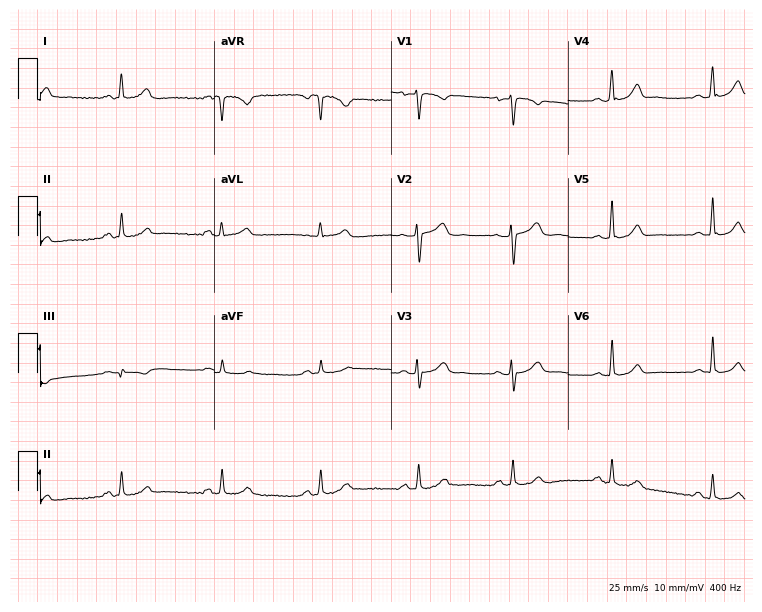
Standard 12-lead ECG recorded from a 35-year-old woman. None of these six findings is recorded: first-degree AV block, right bundle branch block, left bundle branch block, sinus bradycardia, atrial fibrillation, sinus tachycardia.